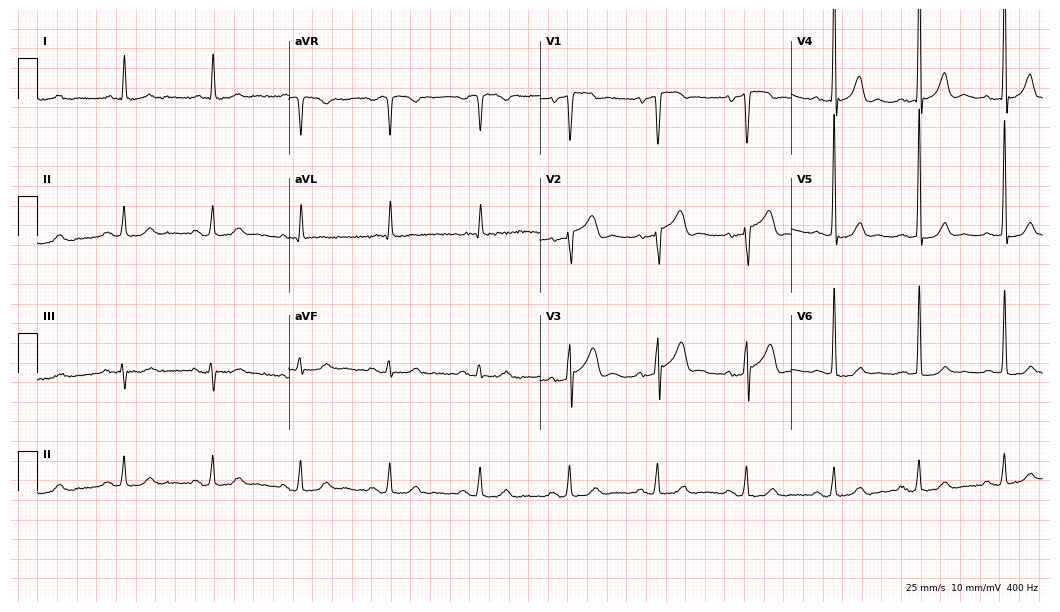
Electrocardiogram, a 77-year-old male patient. Overall reading on record: normal ECG.